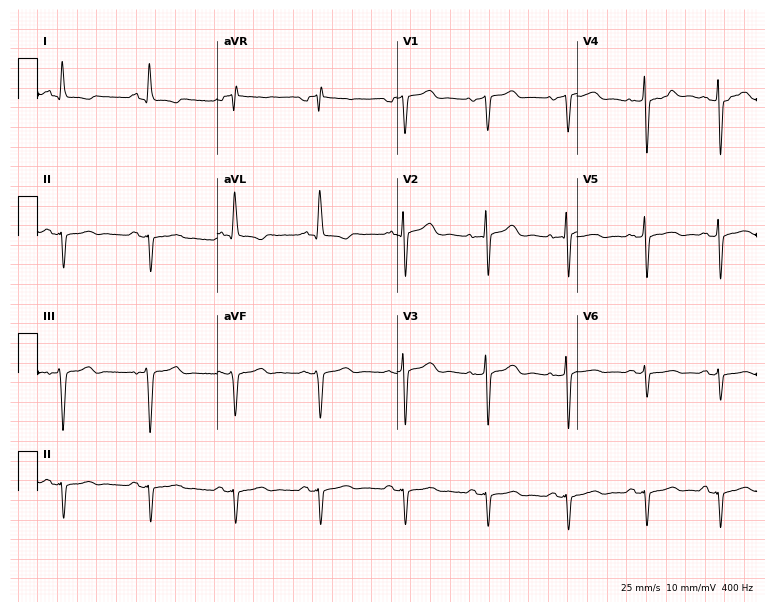
Standard 12-lead ECG recorded from a female, 65 years old (7.3-second recording at 400 Hz). None of these six findings is recorded: first-degree AV block, right bundle branch block (RBBB), left bundle branch block (LBBB), sinus bradycardia, atrial fibrillation (AF), sinus tachycardia. Other findings, if any, are not listed.